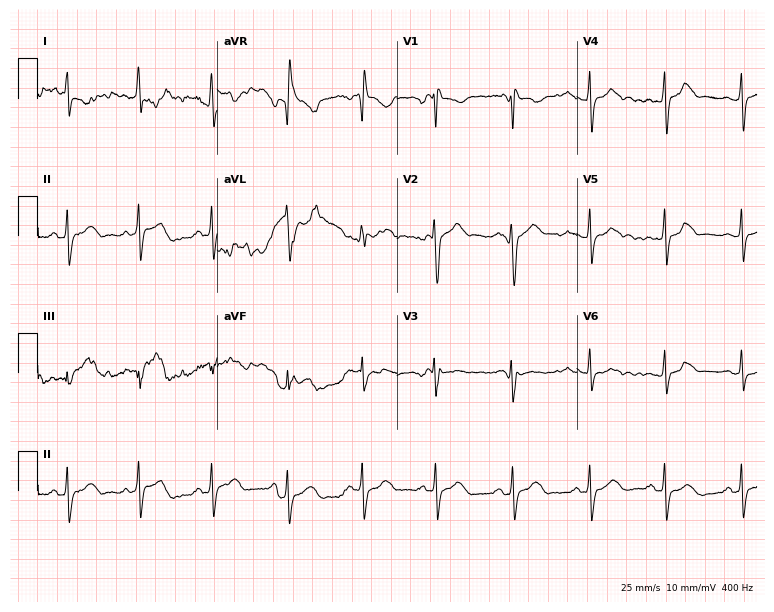
ECG — a woman, 26 years old. Screened for six findings — first-degree AV block, right bundle branch block, left bundle branch block, sinus bradycardia, atrial fibrillation, sinus tachycardia — none is recorded. Findings outside these six are not listed.